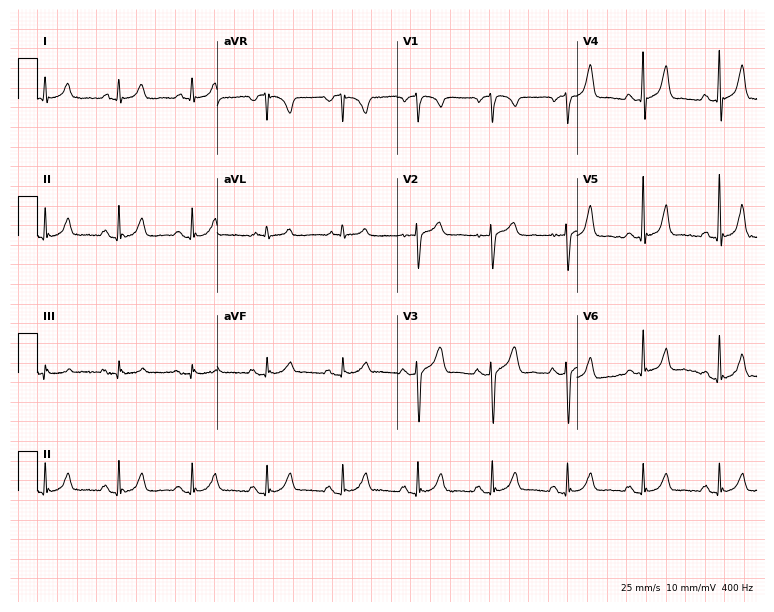
Standard 12-lead ECG recorded from a 71-year-old man. Read as a normal ECG.